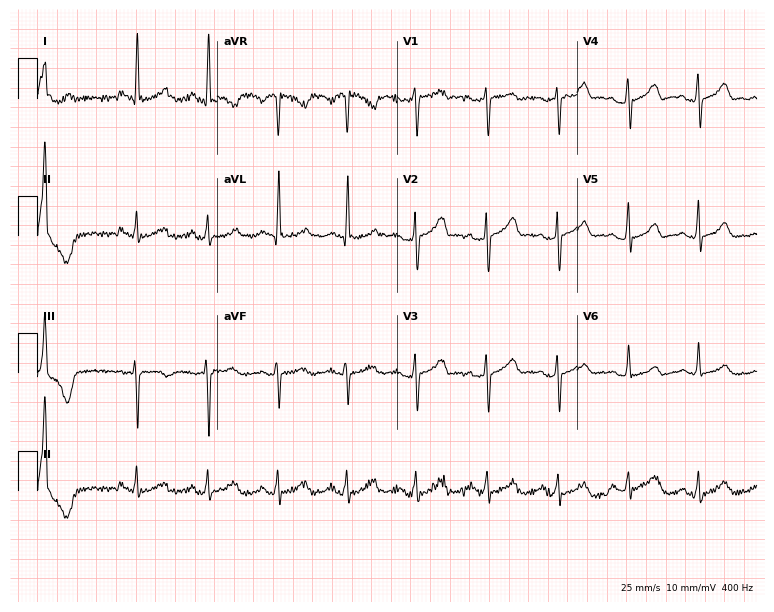
Standard 12-lead ECG recorded from a 61-year-old female patient. Read as a normal ECG.